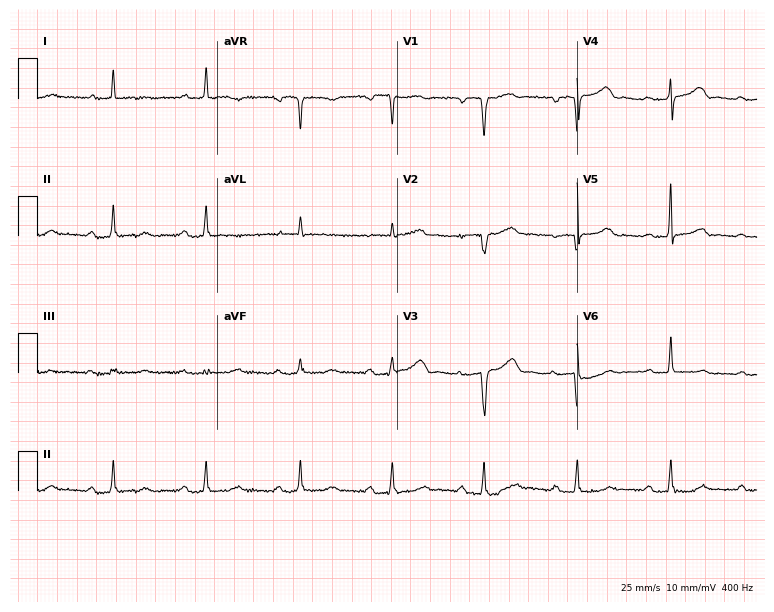
ECG — a woman, 84 years old. Findings include first-degree AV block.